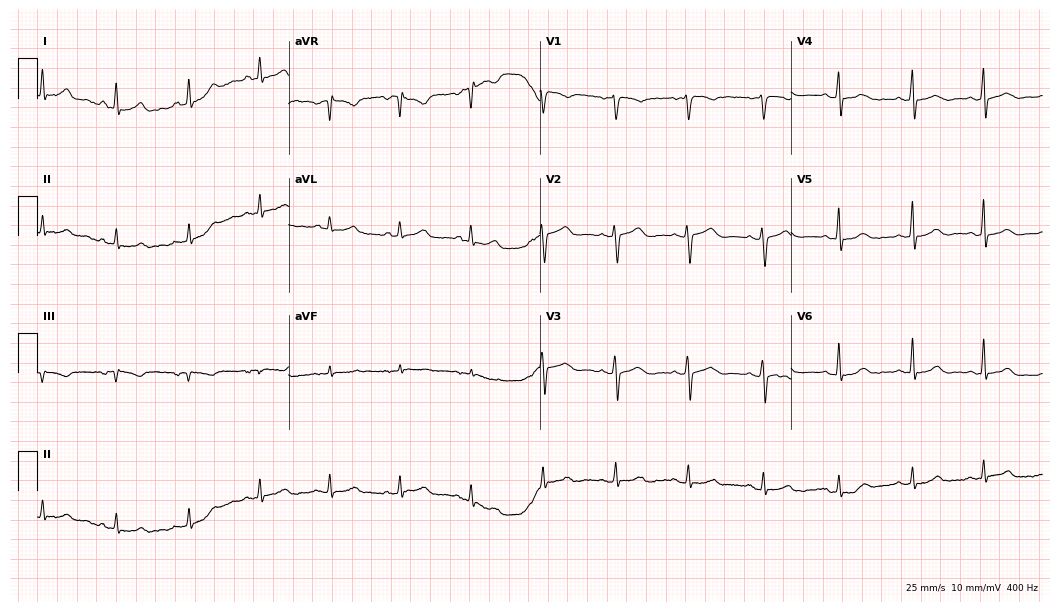
Standard 12-lead ECG recorded from a 37-year-old female patient (10.2-second recording at 400 Hz). Read as a normal ECG.